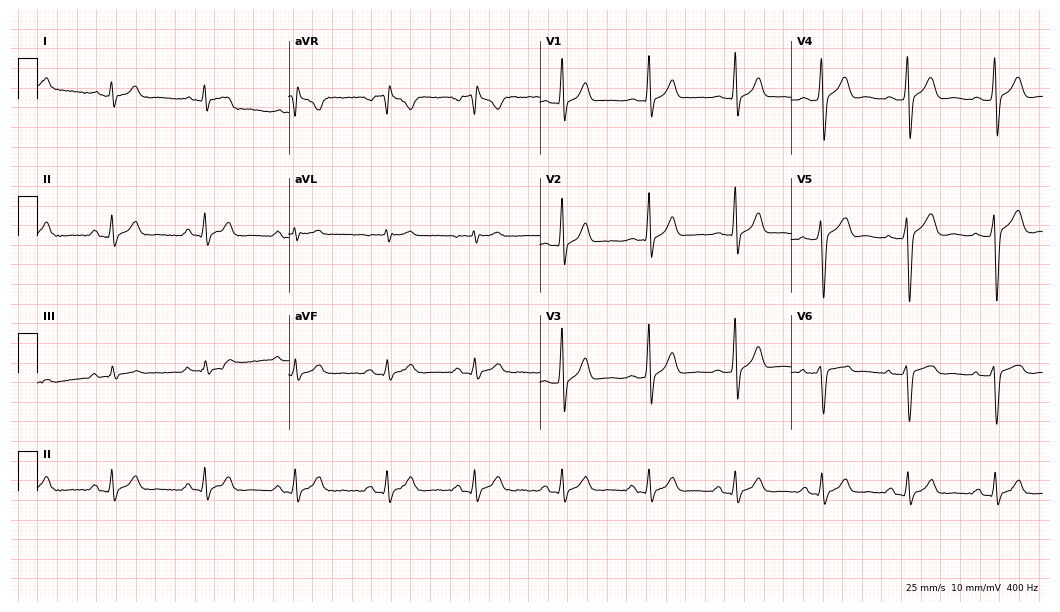
ECG — a 32-year-old male. Screened for six findings — first-degree AV block, right bundle branch block, left bundle branch block, sinus bradycardia, atrial fibrillation, sinus tachycardia — none is recorded. Only these six findings were labelled.